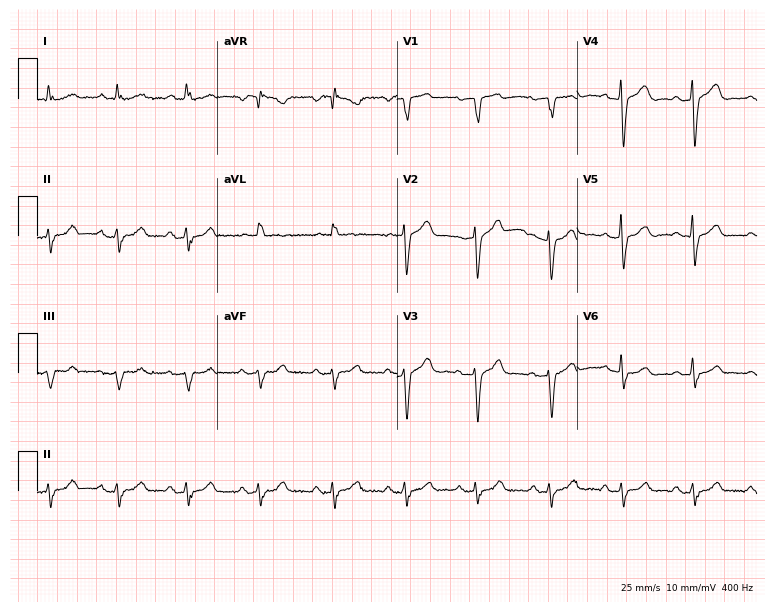
Standard 12-lead ECG recorded from an 80-year-old man. None of these six findings is recorded: first-degree AV block, right bundle branch block, left bundle branch block, sinus bradycardia, atrial fibrillation, sinus tachycardia.